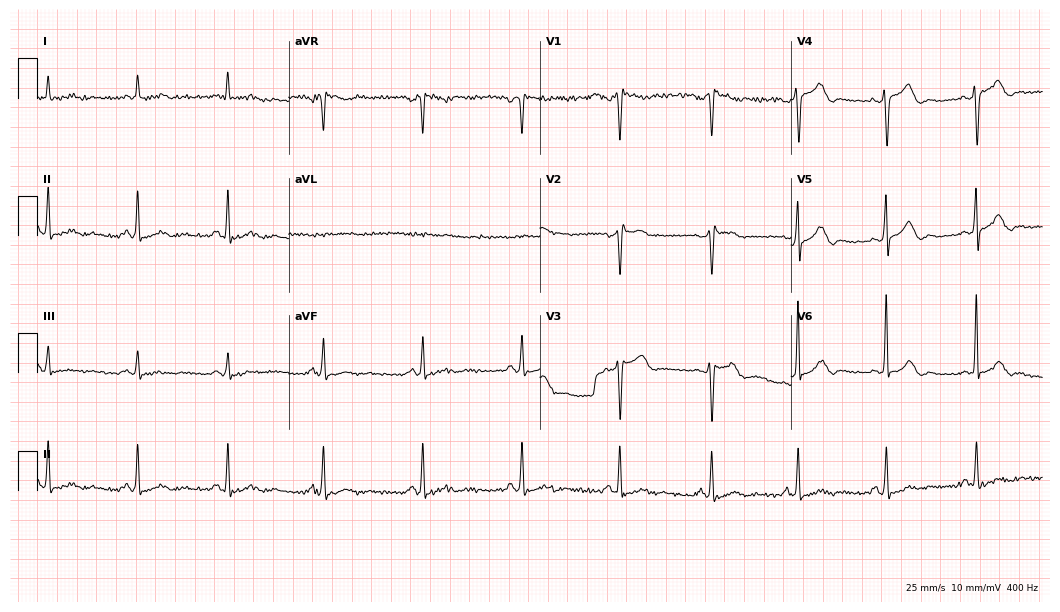
ECG (10.2-second recording at 400 Hz) — a male, 63 years old. Screened for six findings — first-degree AV block, right bundle branch block (RBBB), left bundle branch block (LBBB), sinus bradycardia, atrial fibrillation (AF), sinus tachycardia — none is recorded.